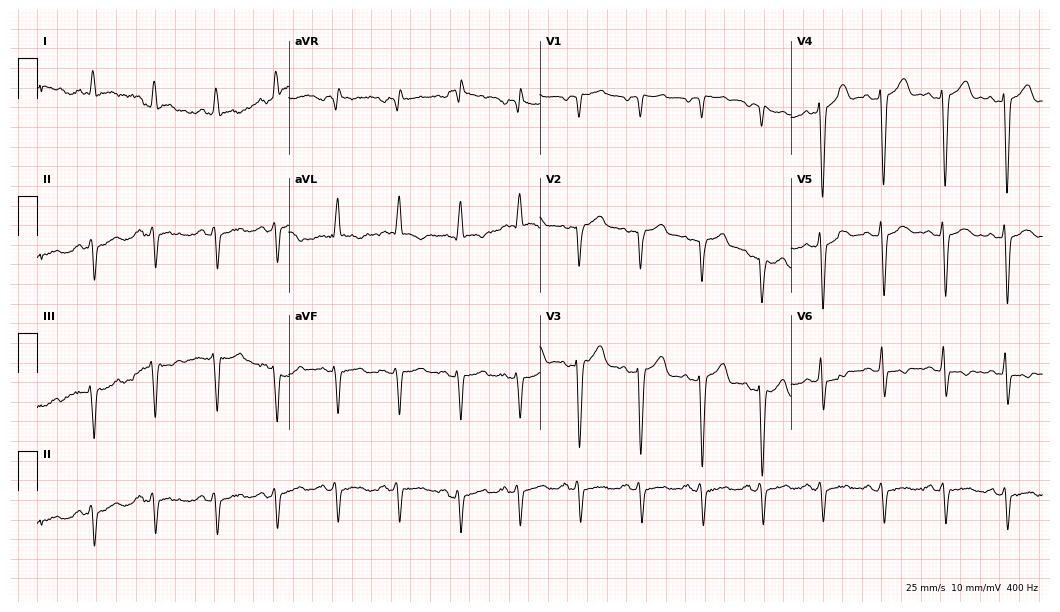
Resting 12-lead electrocardiogram. Patient: a 46-year-old female. None of these six findings is recorded: first-degree AV block, right bundle branch block (RBBB), left bundle branch block (LBBB), sinus bradycardia, atrial fibrillation (AF), sinus tachycardia. Only these six findings were labelled.